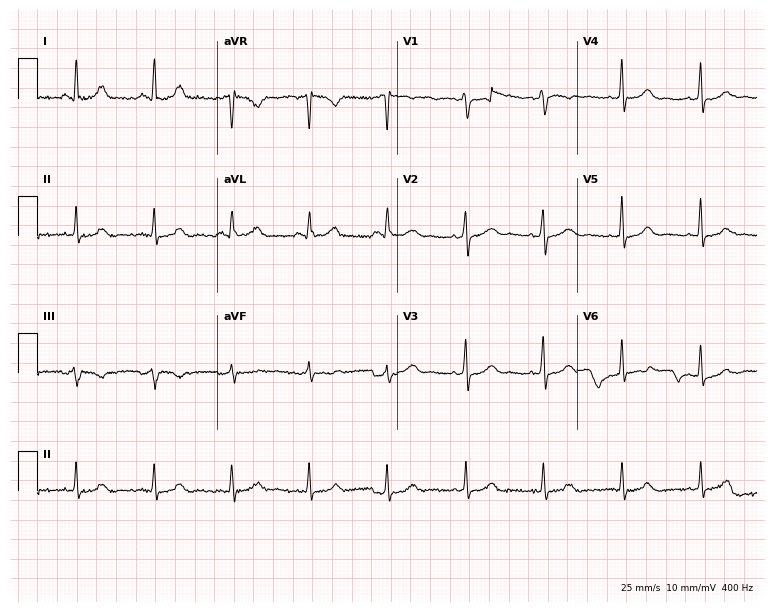
Electrocardiogram (7.3-second recording at 400 Hz), a 52-year-old female patient. Overall reading on record: normal ECG.